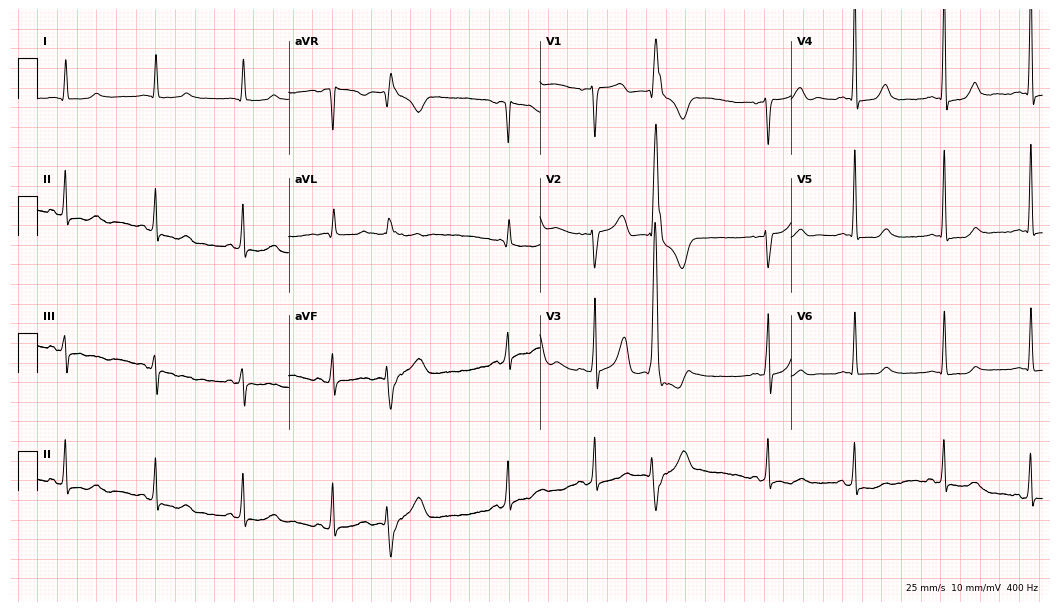
ECG — a female, 79 years old. Labelled as a normal ECG.